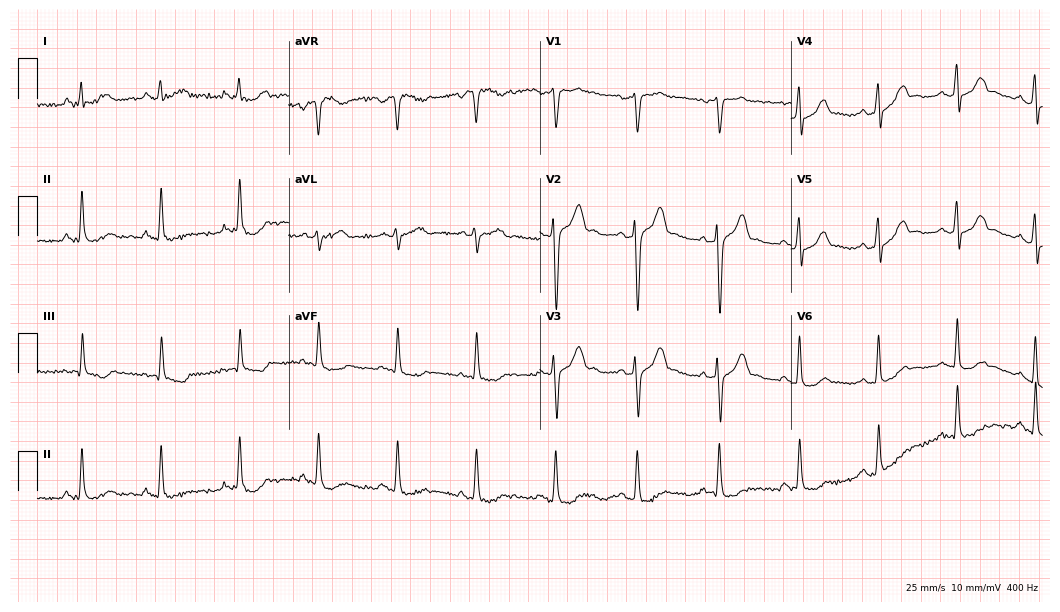
Electrocardiogram (10.2-second recording at 400 Hz), a male patient, 63 years old. Overall reading on record: normal ECG.